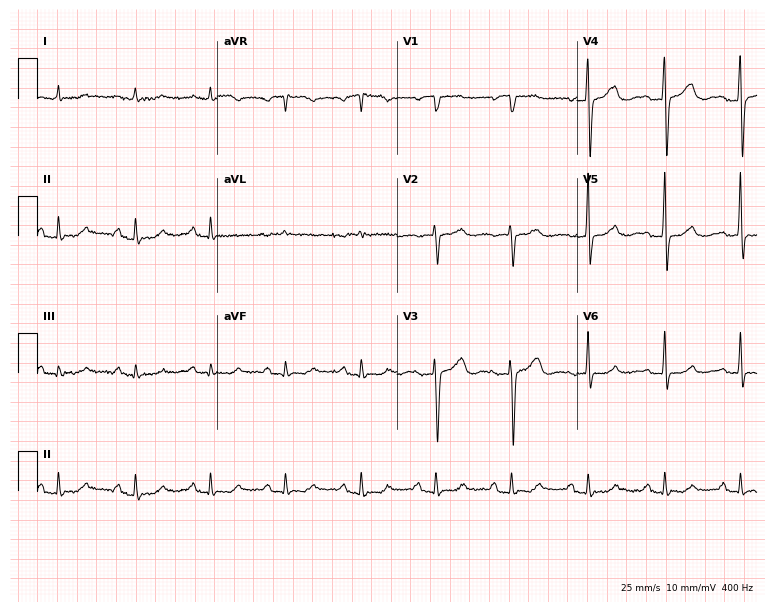
Resting 12-lead electrocardiogram. Patient: a woman, 83 years old. None of these six findings is recorded: first-degree AV block, right bundle branch block, left bundle branch block, sinus bradycardia, atrial fibrillation, sinus tachycardia.